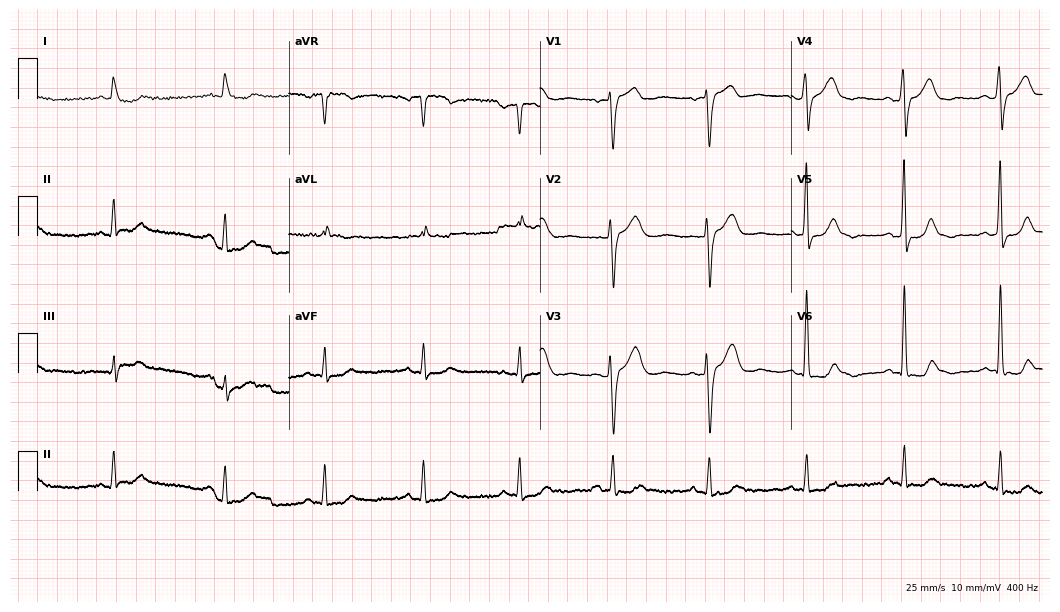
12-lead ECG (10.2-second recording at 400 Hz) from a male patient, 85 years old. Screened for six findings — first-degree AV block, right bundle branch block, left bundle branch block, sinus bradycardia, atrial fibrillation, sinus tachycardia — none is recorded.